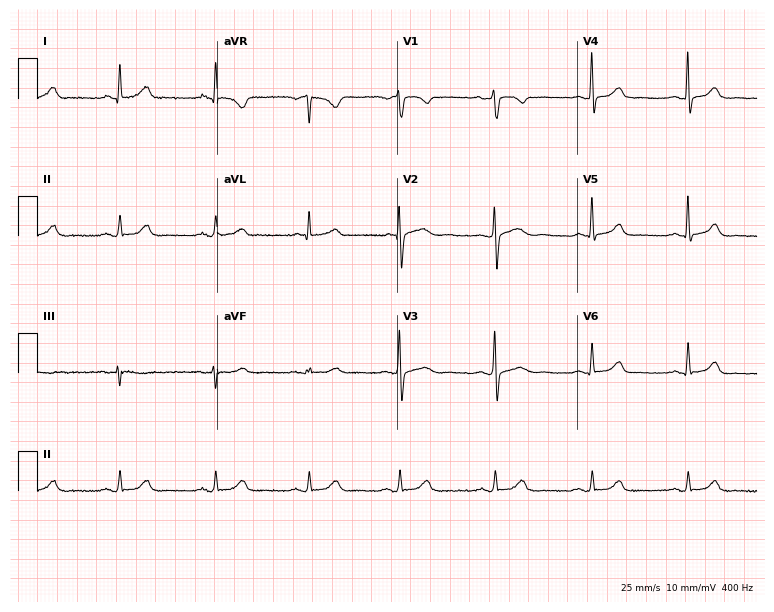
ECG — a 44-year-old female patient. Labelled as a normal ECG.